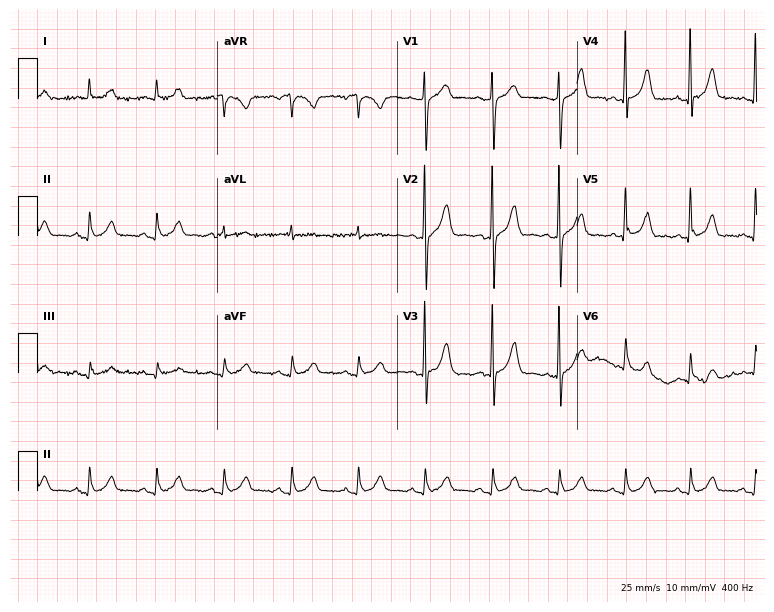
Standard 12-lead ECG recorded from a 75-year-old male patient (7.3-second recording at 400 Hz). Read as a normal ECG.